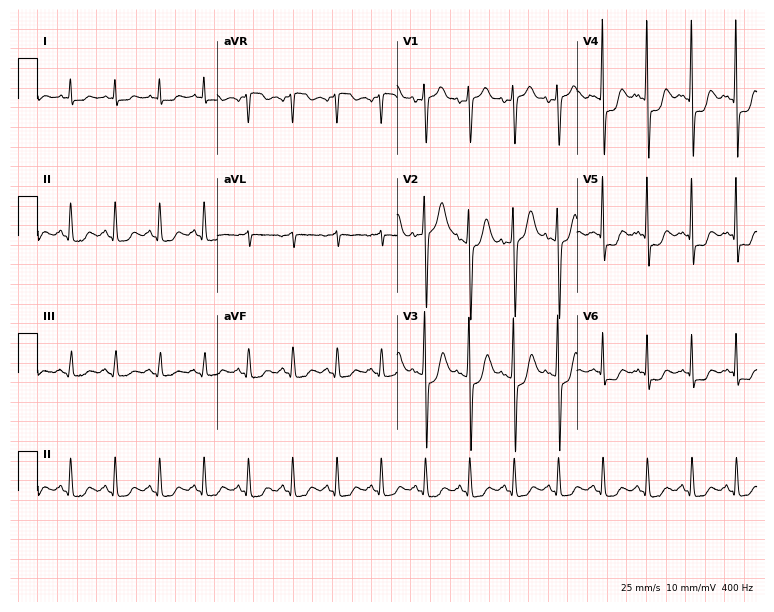
12-lead ECG from a male patient, 71 years old. Shows sinus tachycardia (a sinus rate of 100 beats per minute or more).